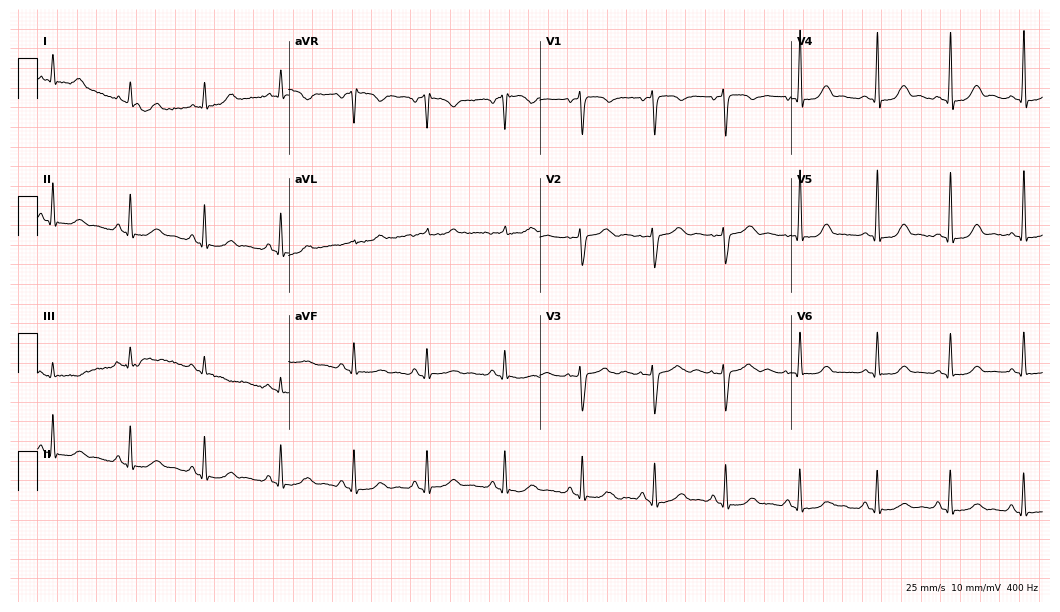
Electrocardiogram, a 32-year-old female. Of the six screened findings (first-degree AV block, right bundle branch block (RBBB), left bundle branch block (LBBB), sinus bradycardia, atrial fibrillation (AF), sinus tachycardia), none is recorded.